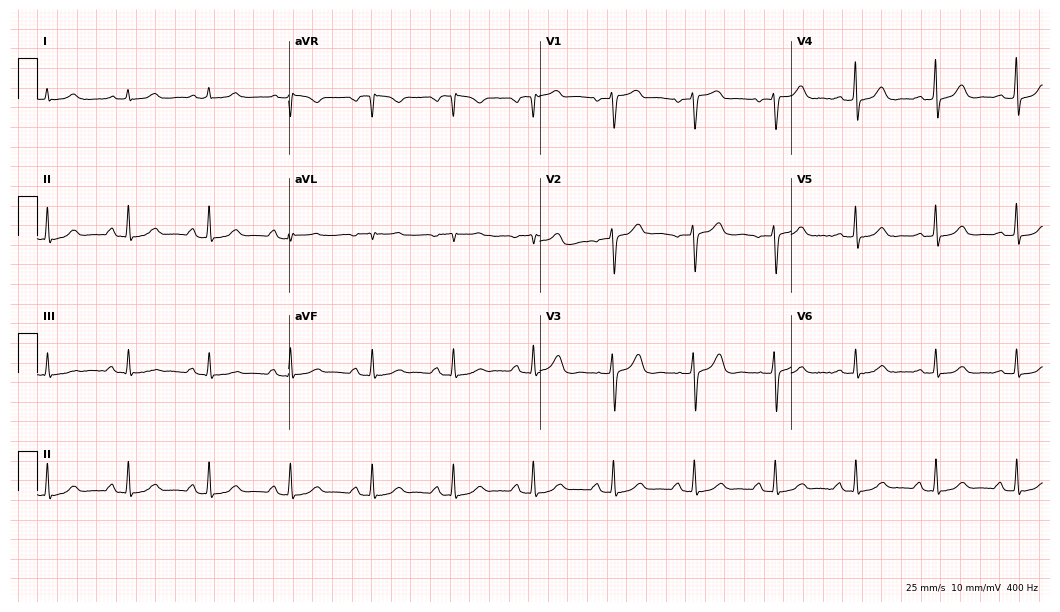
Resting 12-lead electrocardiogram (10.2-second recording at 400 Hz). Patient: a female, 76 years old. Read as a normal ECG.